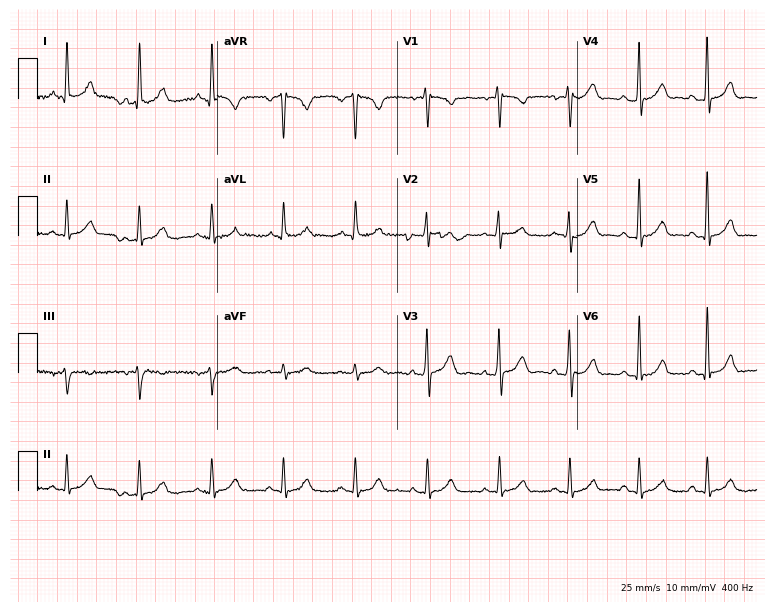
Standard 12-lead ECG recorded from a 51-year-old man (7.3-second recording at 400 Hz). Read as a normal ECG.